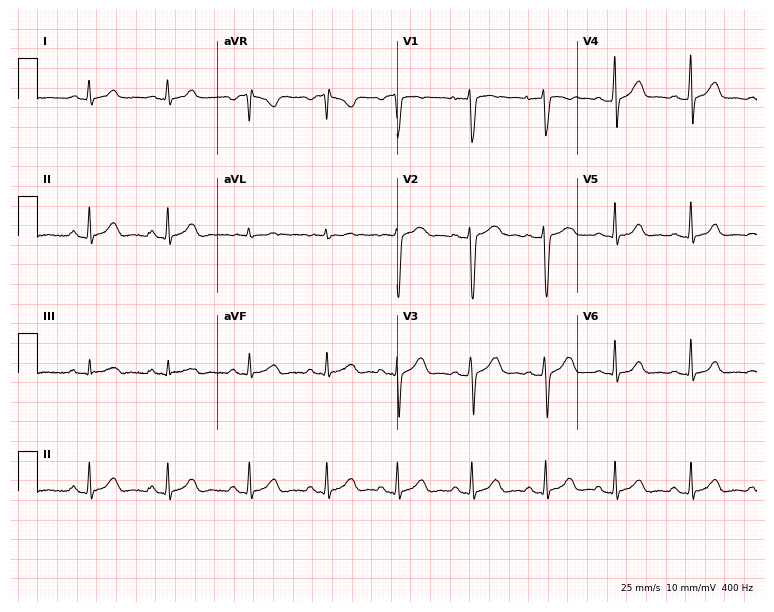
Electrocardiogram, a female patient, 24 years old. Of the six screened findings (first-degree AV block, right bundle branch block, left bundle branch block, sinus bradycardia, atrial fibrillation, sinus tachycardia), none is recorded.